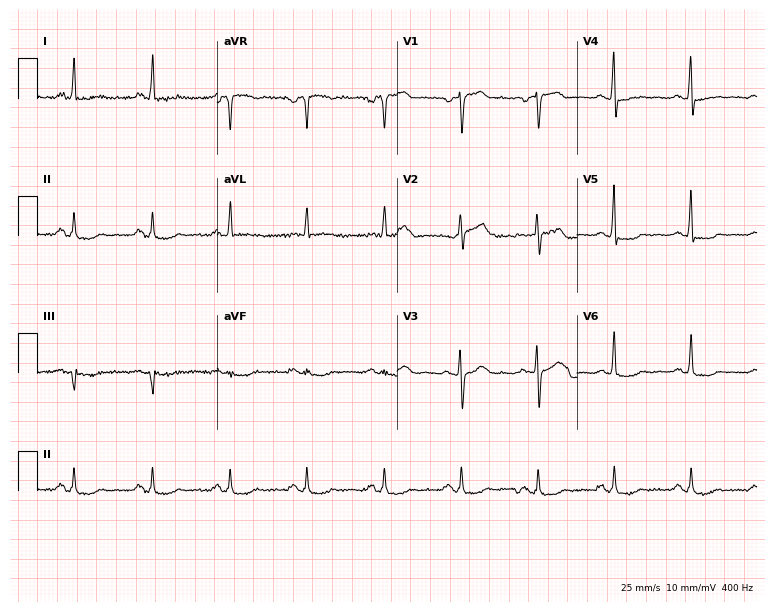
Standard 12-lead ECG recorded from a man, 59 years old (7.3-second recording at 400 Hz). None of these six findings is recorded: first-degree AV block, right bundle branch block (RBBB), left bundle branch block (LBBB), sinus bradycardia, atrial fibrillation (AF), sinus tachycardia. Findings outside these six are not listed.